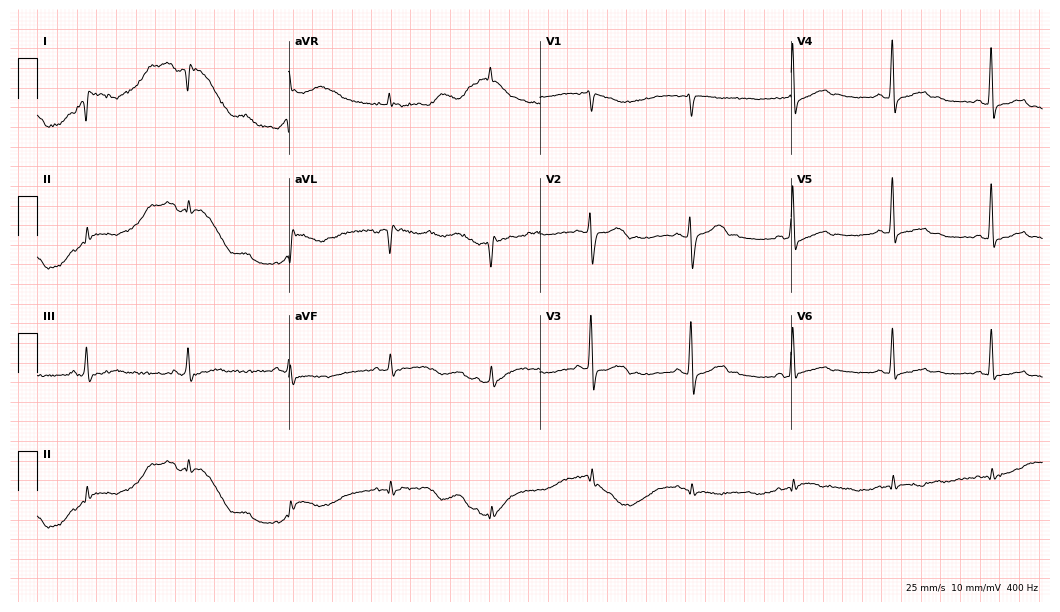
ECG — a 47-year-old male patient. Screened for six findings — first-degree AV block, right bundle branch block, left bundle branch block, sinus bradycardia, atrial fibrillation, sinus tachycardia — none is recorded.